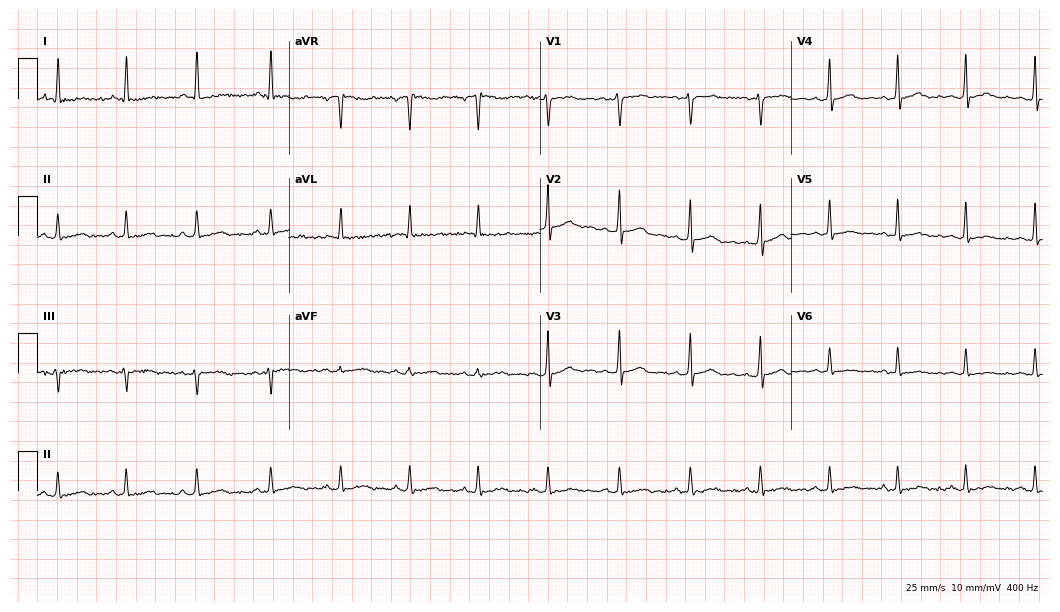
12-lead ECG from a man, 40 years old. No first-degree AV block, right bundle branch block, left bundle branch block, sinus bradycardia, atrial fibrillation or sinus tachycardia recorded for this tracing. Other findings, if any, are not listed.